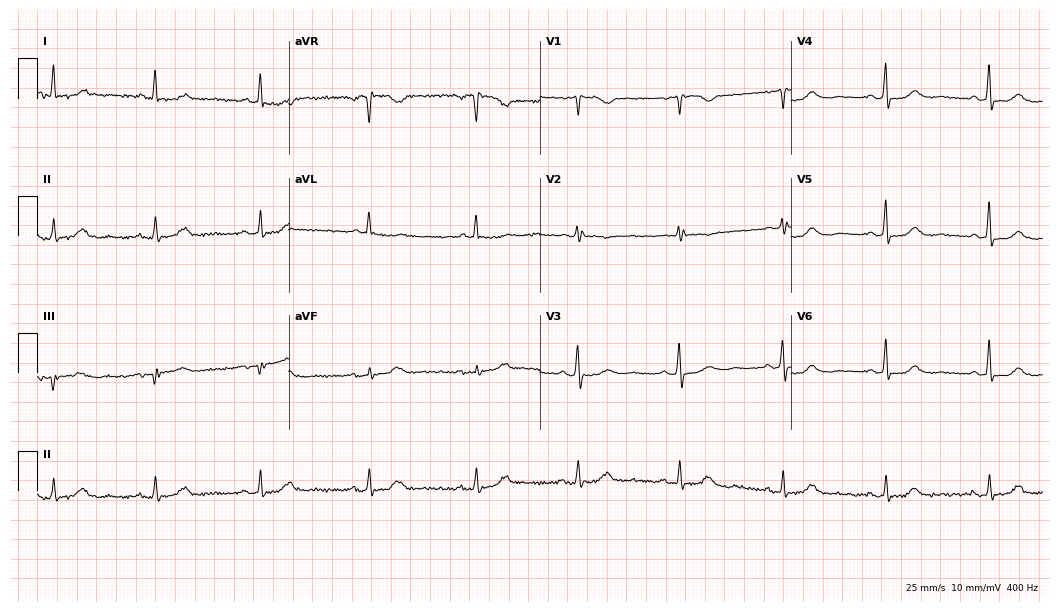
ECG — a 75-year-old female patient. Screened for six findings — first-degree AV block, right bundle branch block, left bundle branch block, sinus bradycardia, atrial fibrillation, sinus tachycardia — none is recorded. Only these six findings were labelled.